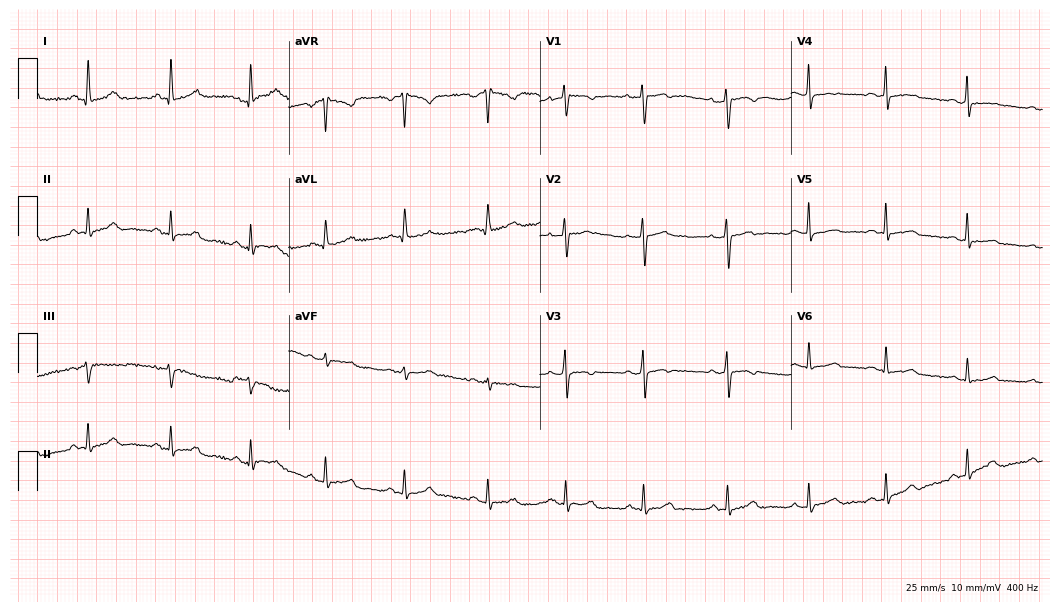
Electrocardiogram (10.2-second recording at 400 Hz), a 30-year-old woman. Overall reading on record: normal ECG.